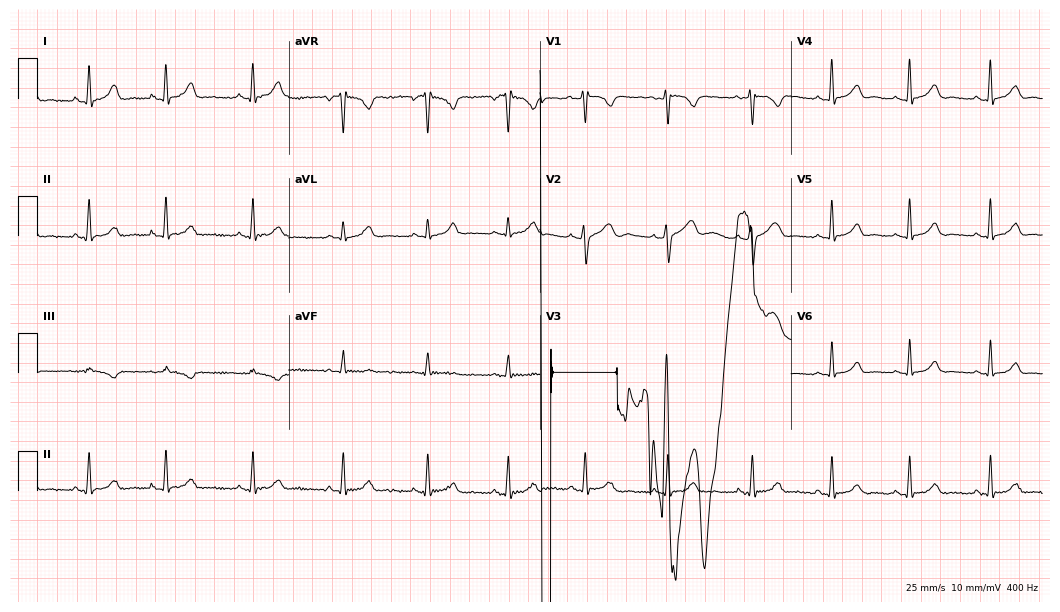
Resting 12-lead electrocardiogram. Patient: a 20-year-old woman. Read as a normal ECG.